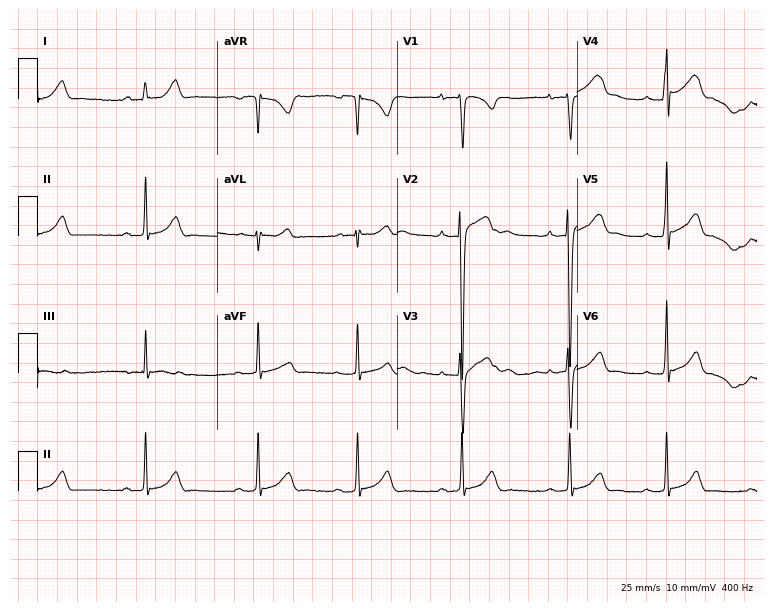
Standard 12-lead ECG recorded from a 17-year-old male (7.3-second recording at 400 Hz). Read as a normal ECG.